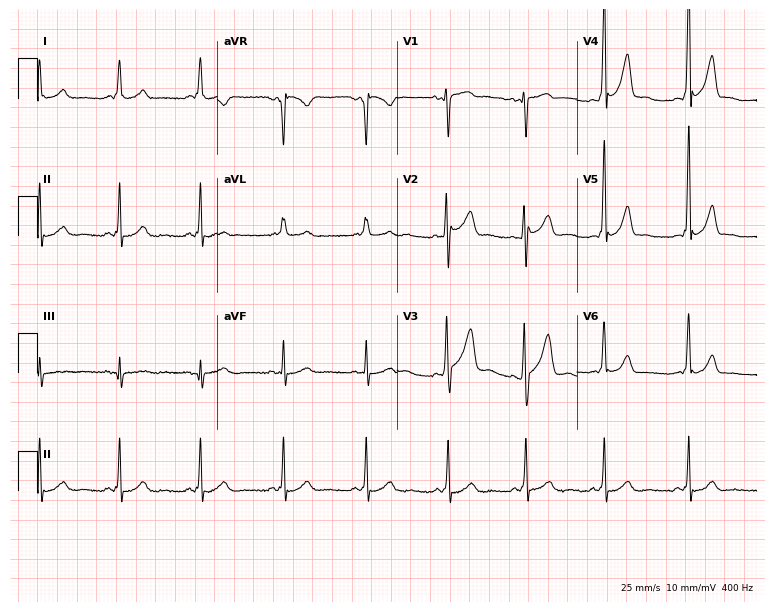
Electrocardiogram, a male patient, 31 years old. Of the six screened findings (first-degree AV block, right bundle branch block, left bundle branch block, sinus bradycardia, atrial fibrillation, sinus tachycardia), none is recorded.